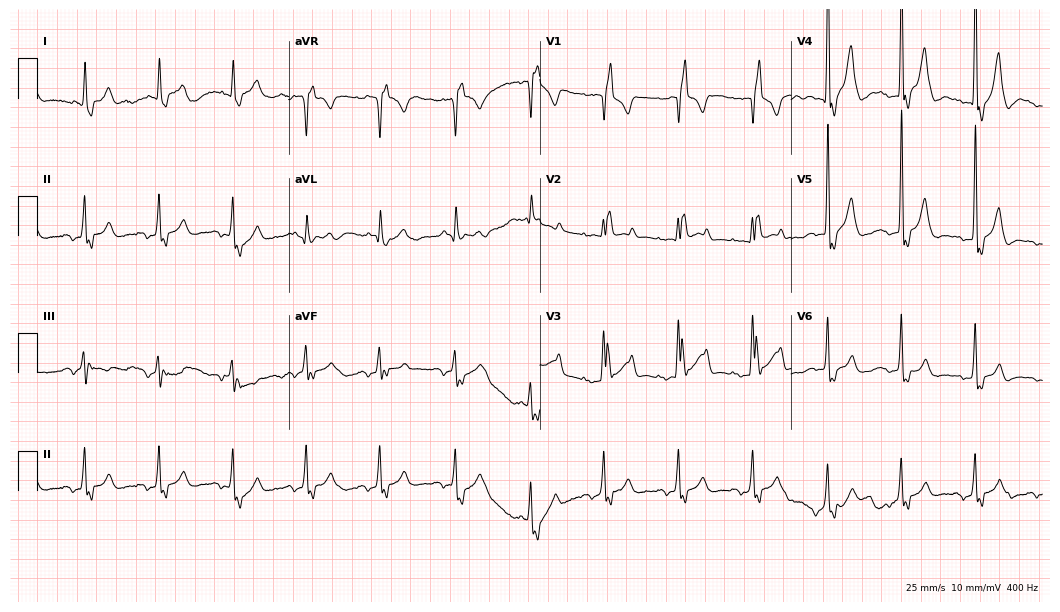
Electrocardiogram (10.2-second recording at 400 Hz), a man, 78 years old. Interpretation includes right bundle branch block.